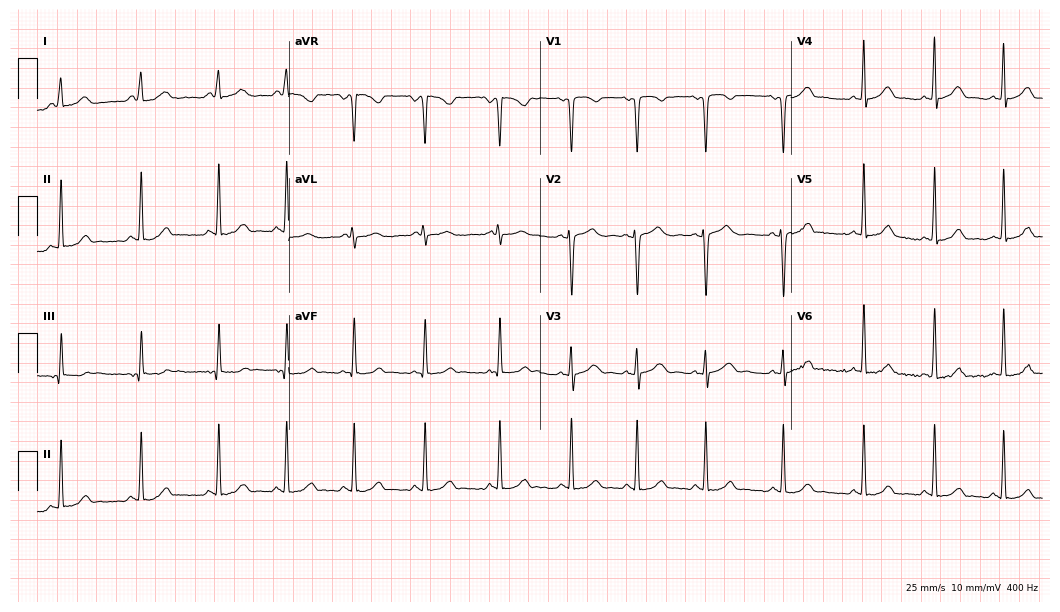
12-lead ECG from a female, 23 years old. Labelled as a normal ECG.